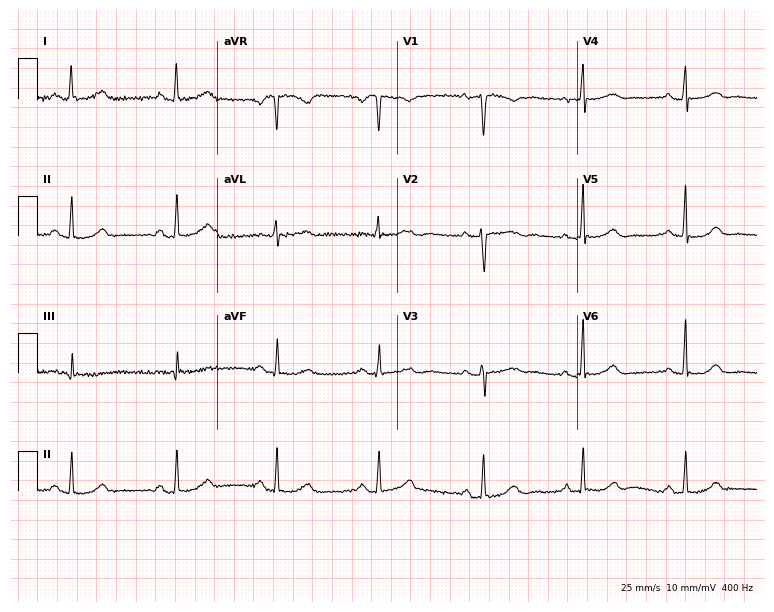
12-lead ECG from a 51-year-old woman (7.3-second recording at 400 Hz). No first-degree AV block, right bundle branch block, left bundle branch block, sinus bradycardia, atrial fibrillation or sinus tachycardia recorded for this tracing.